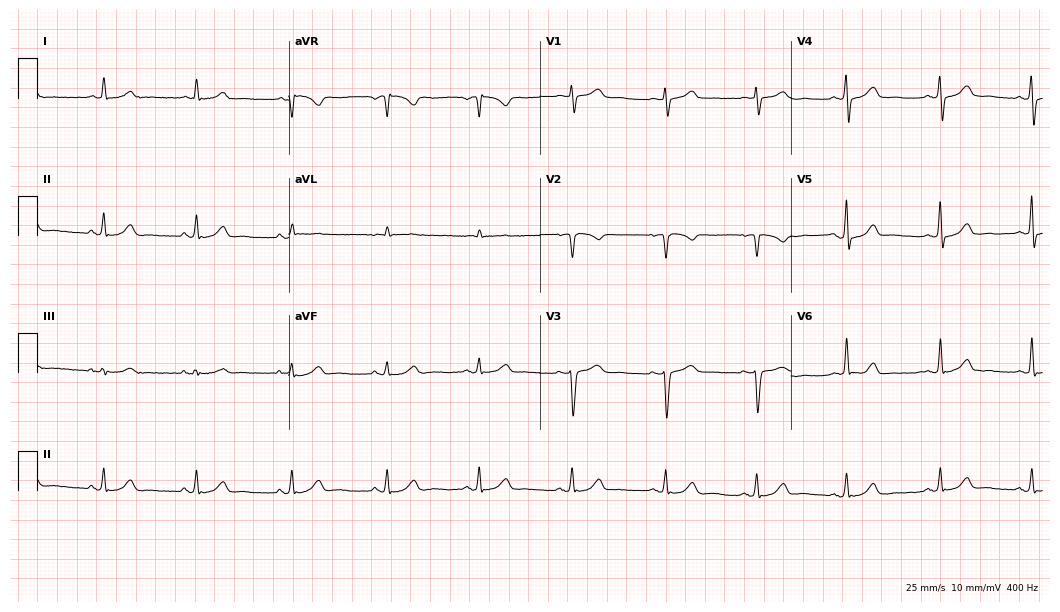
Standard 12-lead ECG recorded from a 50-year-old woman. Read as a normal ECG.